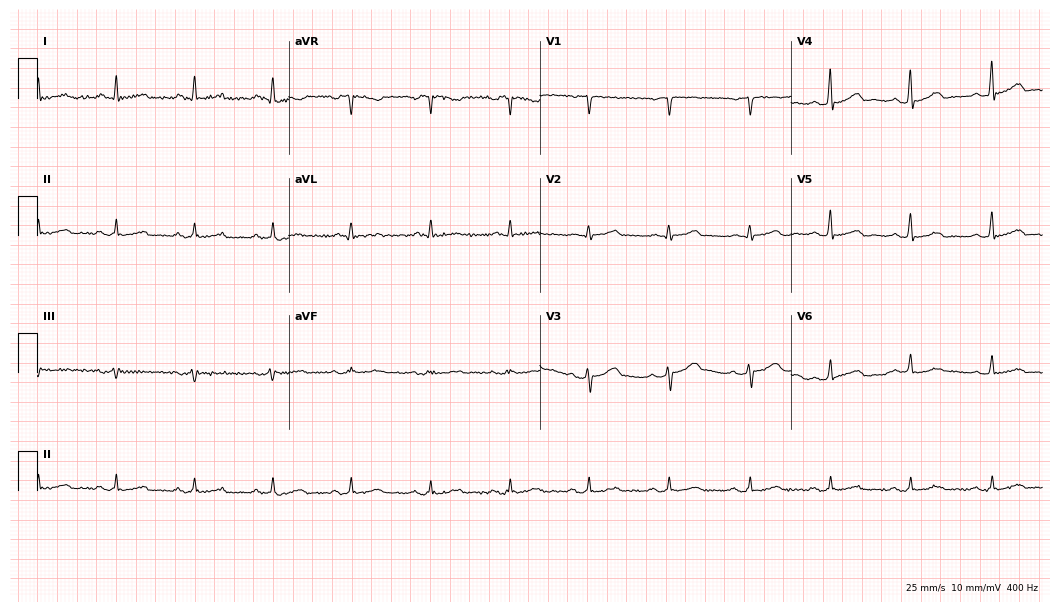
Resting 12-lead electrocardiogram (10.2-second recording at 400 Hz). Patient: a male, 58 years old. Read as a normal ECG.